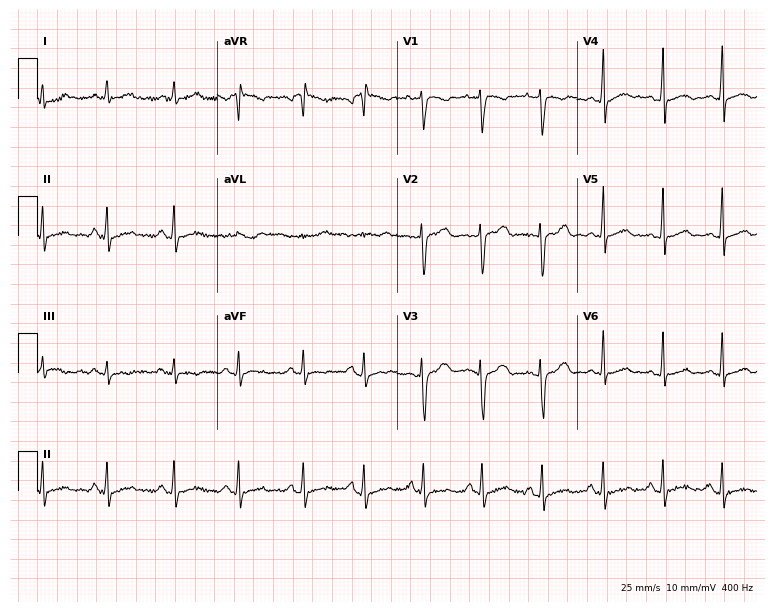
12-lead ECG from a 20-year-old female (7.3-second recording at 400 Hz). No first-degree AV block, right bundle branch block, left bundle branch block, sinus bradycardia, atrial fibrillation or sinus tachycardia recorded for this tracing. Findings outside these six are not listed.